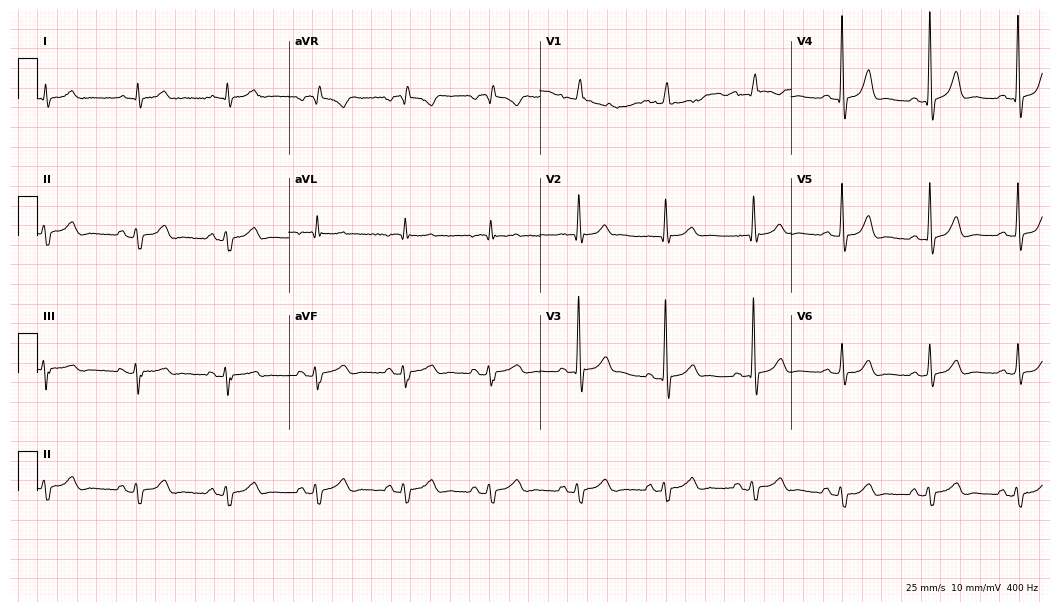
Resting 12-lead electrocardiogram (10.2-second recording at 400 Hz). Patient: a male, 68 years old. None of these six findings is recorded: first-degree AV block, right bundle branch block (RBBB), left bundle branch block (LBBB), sinus bradycardia, atrial fibrillation (AF), sinus tachycardia.